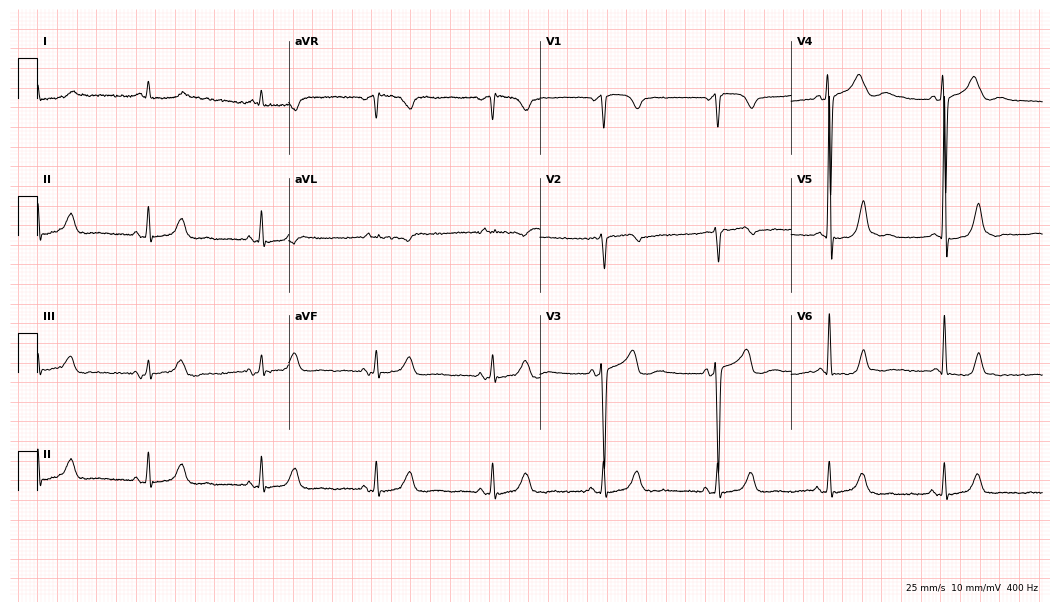
12-lead ECG from an 81-year-old female. No first-degree AV block, right bundle branch block, left bundle branch block, sinus bradycardia, atrial fibrillation or sinus tachycardia recorded for this tracing.